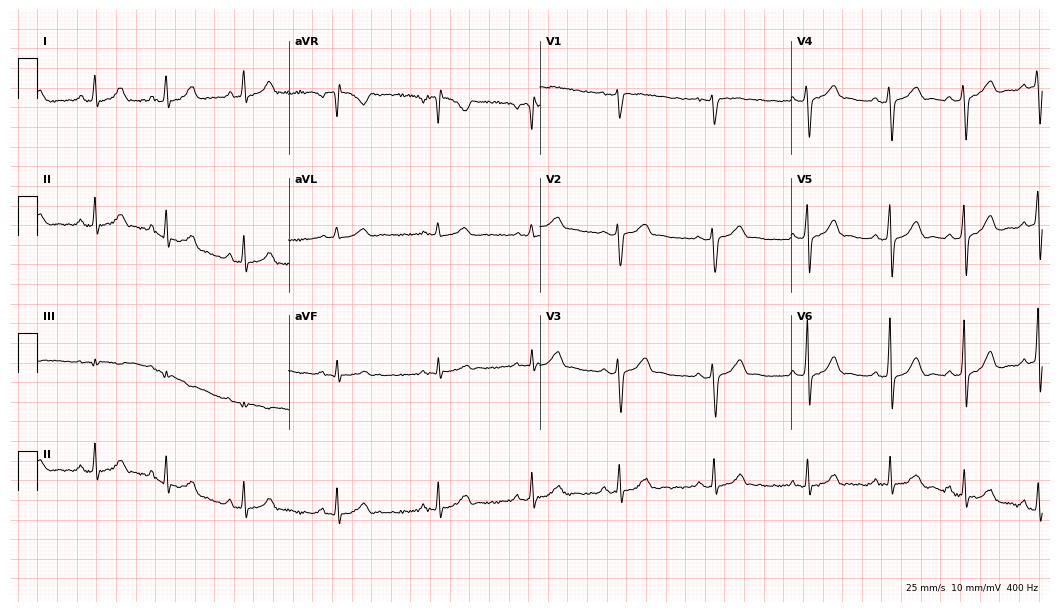
ECG (10.2-second recording at 400 Hz) — a 37-year-old female patient. Screened for six findings — first-degree AV block, right bundle branch block, left bundle branch block, sinus bradycardia, atrial fibrillation, sinus tachycardia — none is recorded. Other findings, if any, are not listed.